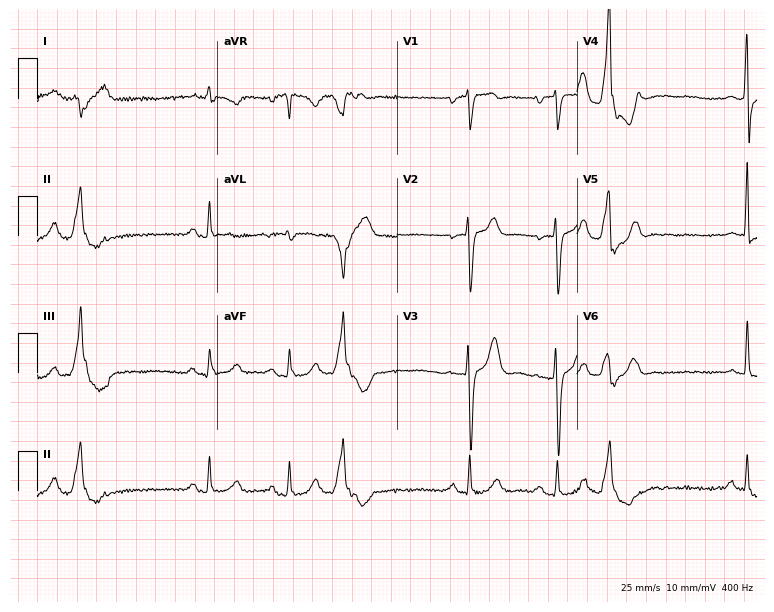
Electrocardiogram, a male, 68 years old. Of the six screened findings (first-degree AV block, right bundle branch block (RBBB), left bundle branch block (LBBB), sinus bradycardia, atrial fibrillation (AF), sinus tachycardia), none is recorded.